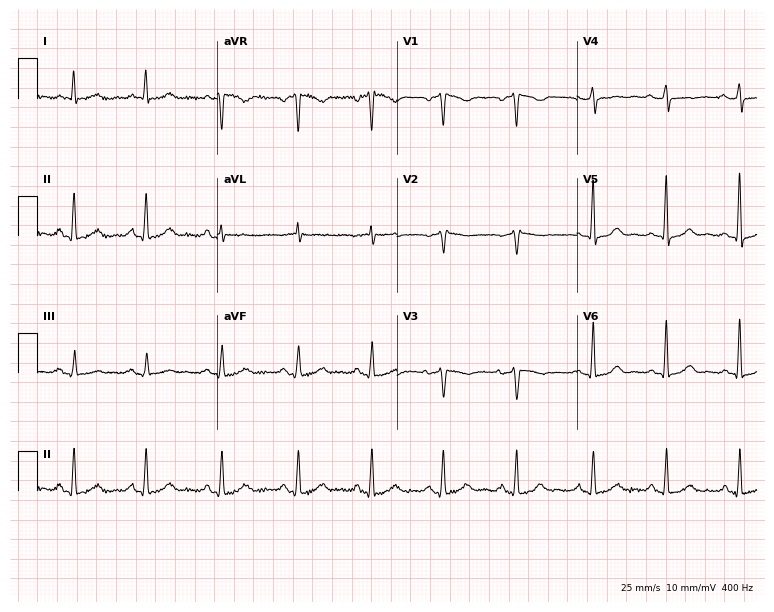
12-lead ECG from a 66-year-old female patient. Screened for six findings — first-degree AV block, right bundle branch block, left bundle branch block, sinus bradycardia, atrial fibrillation, sinus tachycardia — none is recorded.